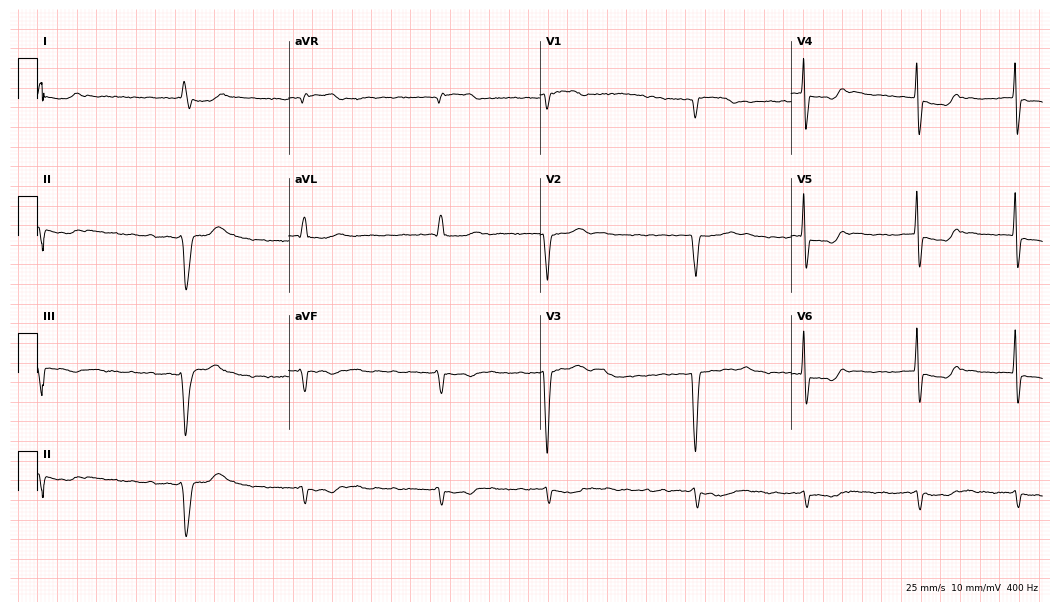
12-lead ECG (10.2-second recording at 400 Hz) from a 76-year-old man. Findings include atrial fibrillation.